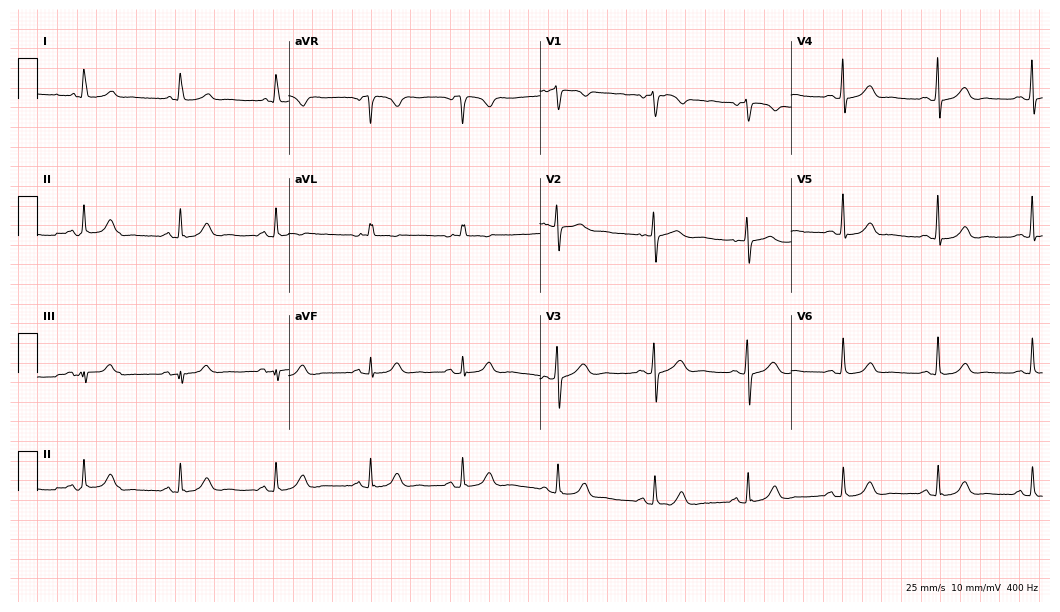
12-lead ECG from a 74-year-old female. Recorded interpretation: within normal limits.